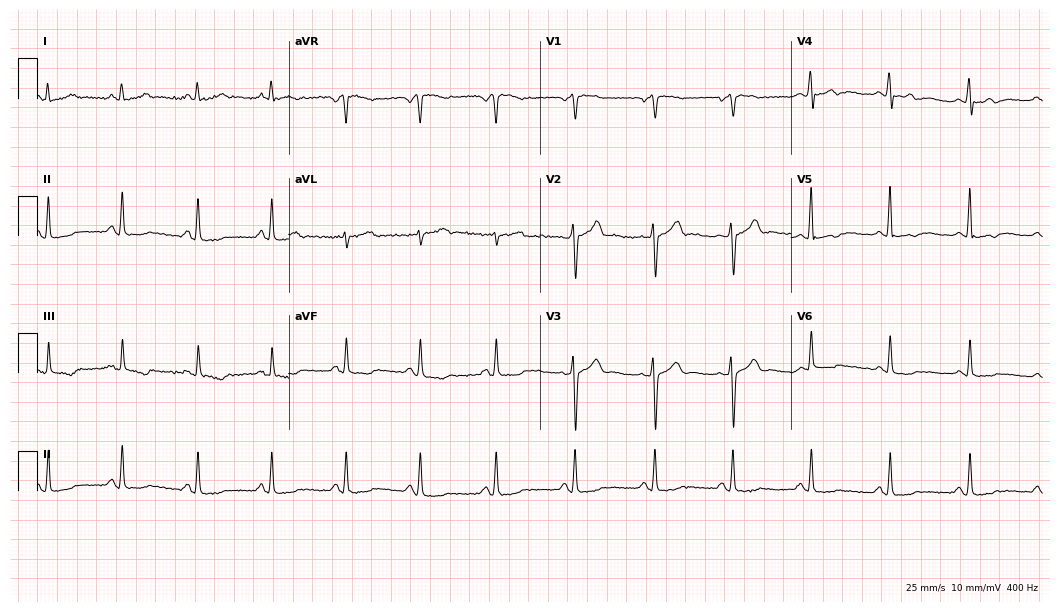
Standard 12-lead ECG recorded from a 44-year-old female (10.2-second recording at 400 Hz). None of these six findings is recorded: first-degree AV block, right bundle branch block, left bundle branch block, sinus bradycardia, atrial fibrillation, sinus tachycardia.